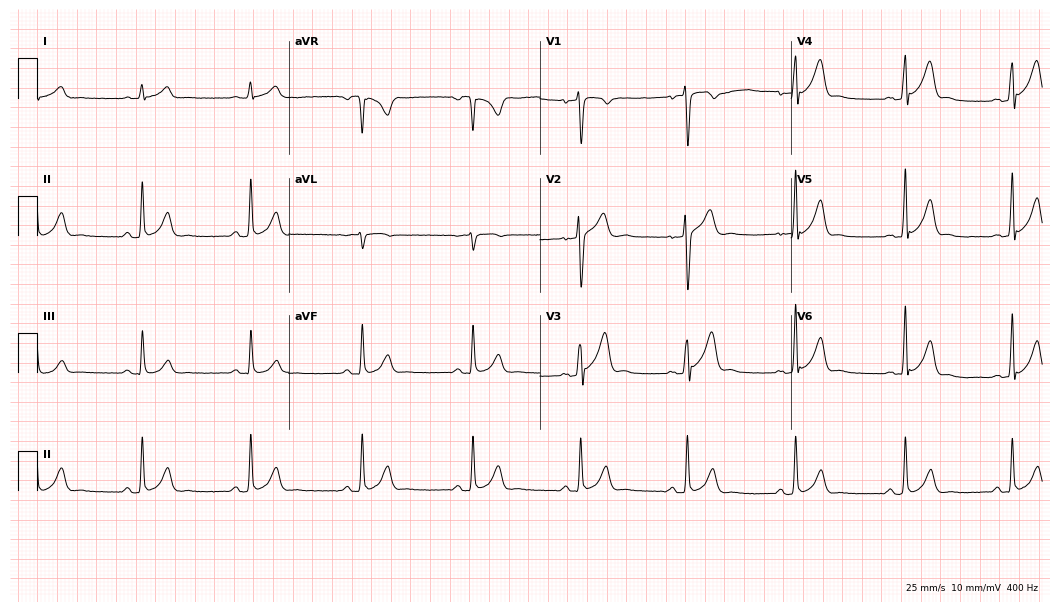
12-lead ECG from a male, 34 years old. Labelled as a normal ECG.